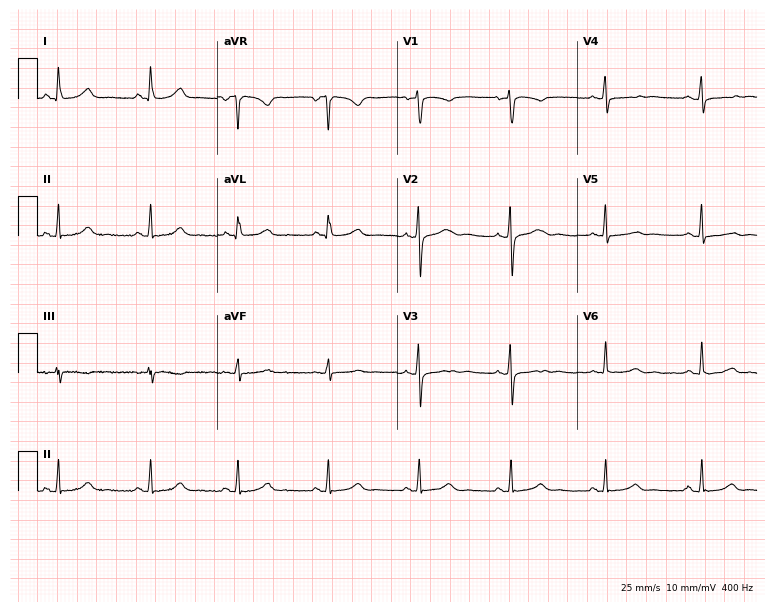
ECG (7.3-second recording at 400 Hz) — a female, 56 years old. Screened for six findings — first-degree AV block, right bundle branch block, left bundle branch block, sinus bradycardia, atrial fibrillation, sinus tachycardia — none is recorded.